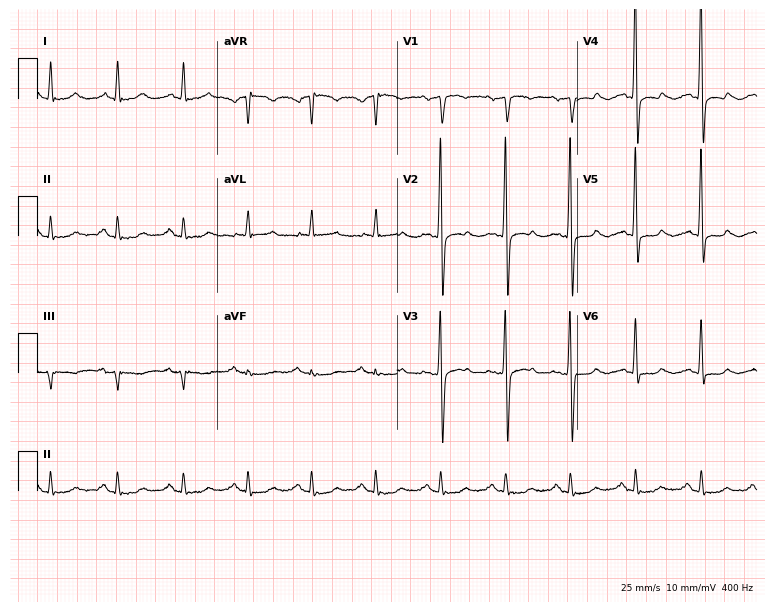
Resting 12-lead electrocardiogram (7.3-second recording at 400 Hz). Patient: a 67-year-old man. Read as a normal ECG.